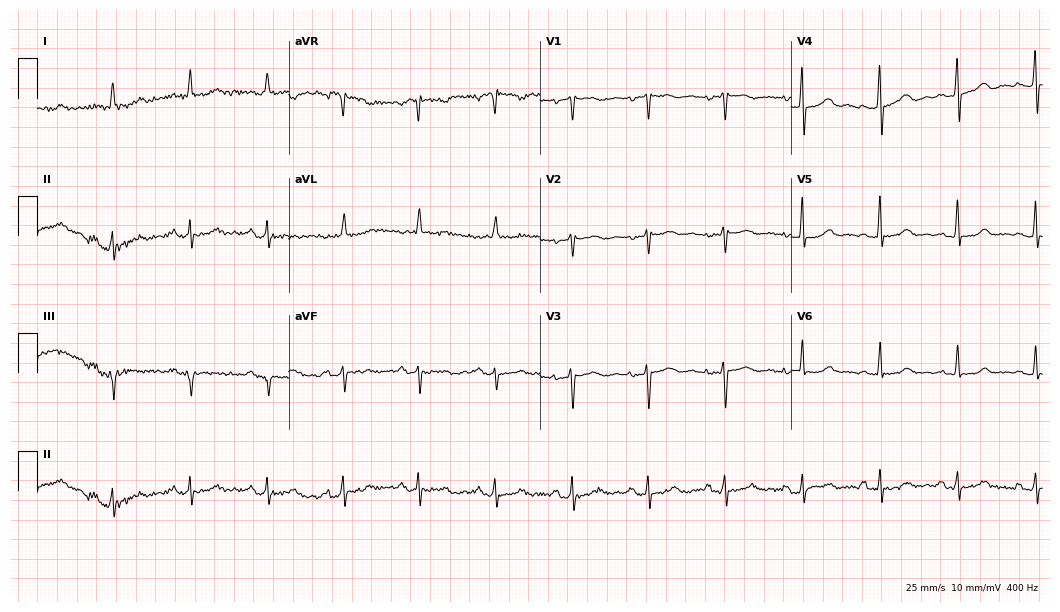
Standard 12-lead ECG recorded from a woman, 54 years old. None of these six findings is recorded: first-degree AV block, right bundle branch block, left bundle branch block, sinus bradycardia, atrial fibrillation, sinus tachycardia. Findings outside these six are not listed.